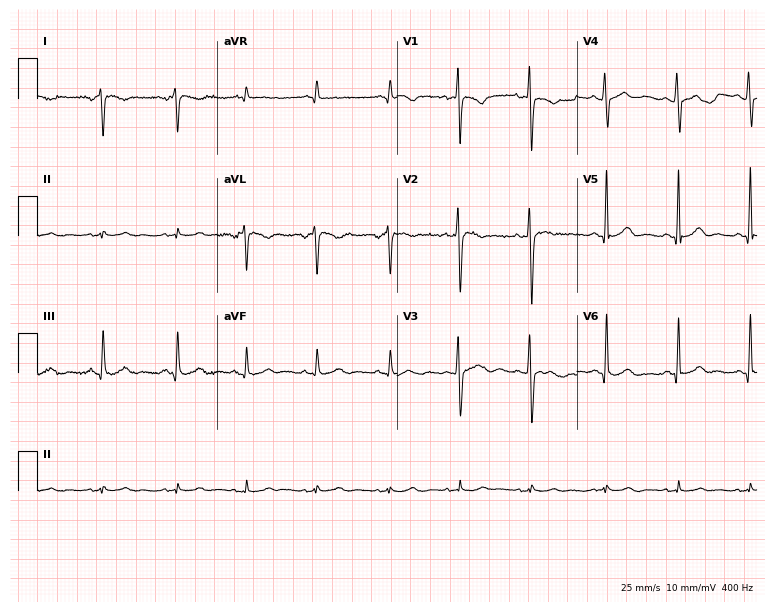
Resting 12-lead electrocardiogram (7.3-second recording at 400 Hz). Patient: a 19-year-old female. None of these six findings is recorded: first-degree AV block, right bundle branch block, left bundle branch block, sinus bradycardia, atrial fibrillation, sinus tachycardia.